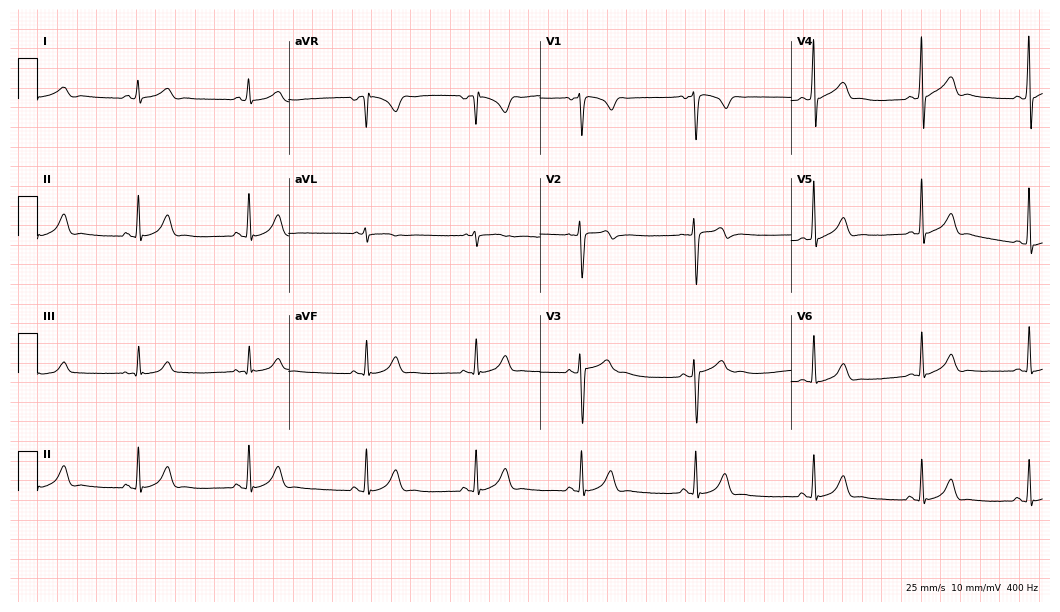
Resting 12-lead electrocardiogram. Patient: a male, 20 years old. Read as a normal ECG.